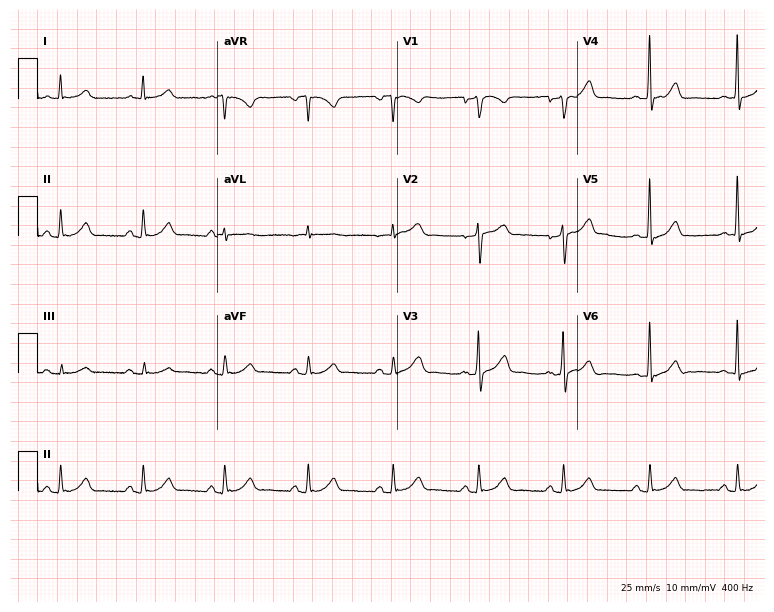
12-lead ECG from a male patient, 58 years old (7.3-second recording at 400 Hz). No first-degree AV block, right bundle branch block, left bundle branch block, sinus bradycardia, atrial fibrillation or sinus tachycardia recorded for this tracing.